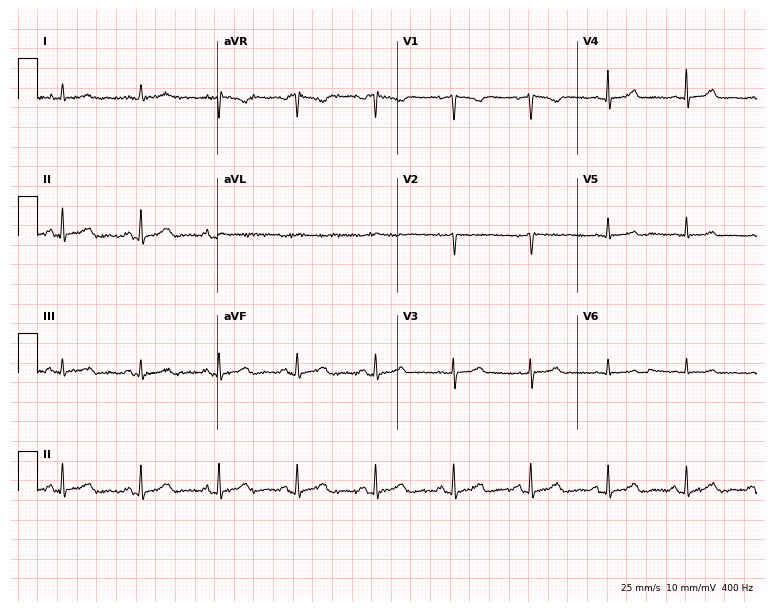
12-lead ECG from a female patient, 69 years old. No first-degree AV block, right bundle branch block, left bundle branch block, sinus bradycardia, atrial fibrillation or sinus tachycardia recorded for this tracing. Only these six findings were labelled.